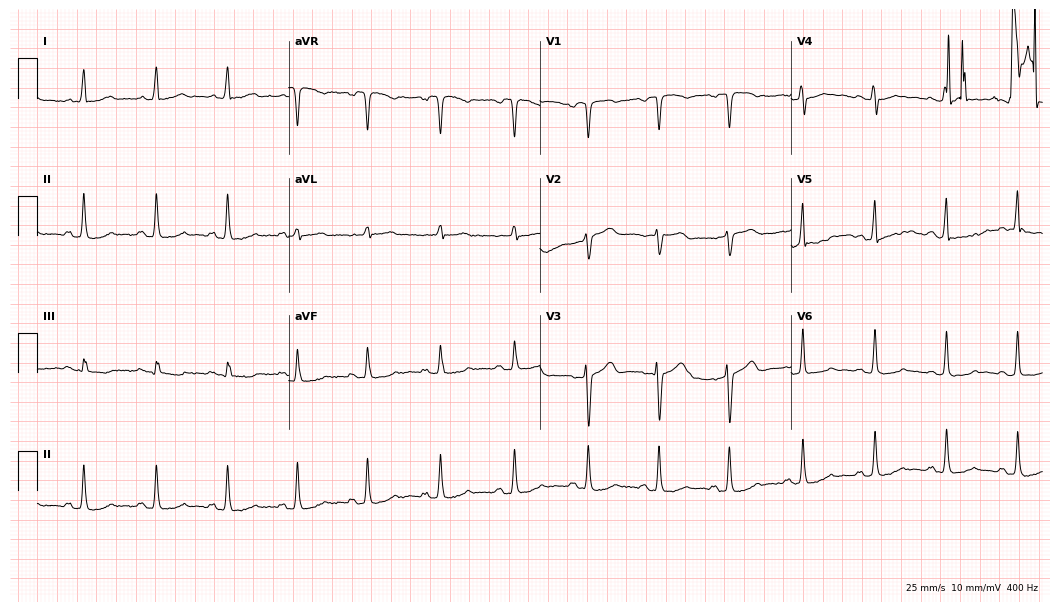
Resting 12-lead electrocardiogram (10.2-second recording at 400 Hz). Patient: a woman, 59 years old. None of these six findings is recorded: first-degree AV block, right bundle branch block (RBBB), left bundle branch block (LBBB), sinus bradycardia, atrial fibrillation (AF), sinus tachycardia.